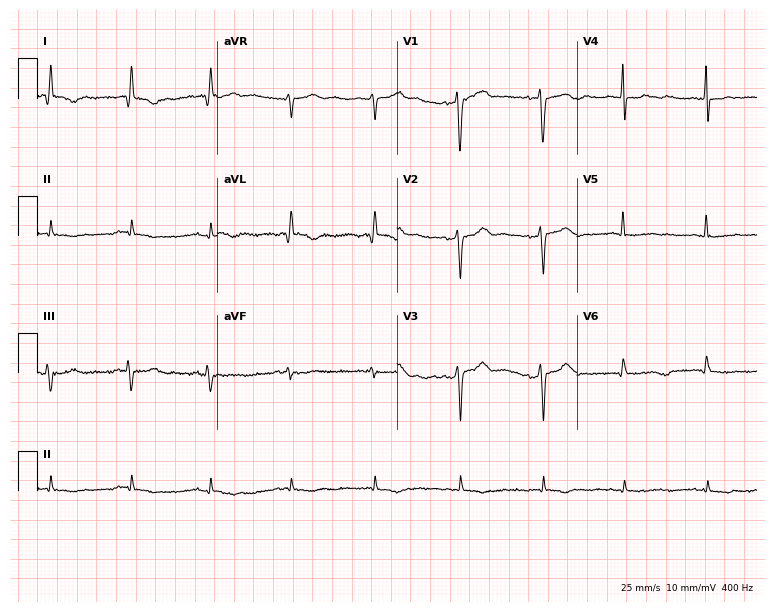
Electrocardiogram, a 59-year-old female. Of the six screened findings (first-degree AV block, right bundle branch block, left bundle branch block, sinus bradycardia, atrial fibrillation, sinus tachycardia), none is recorded.